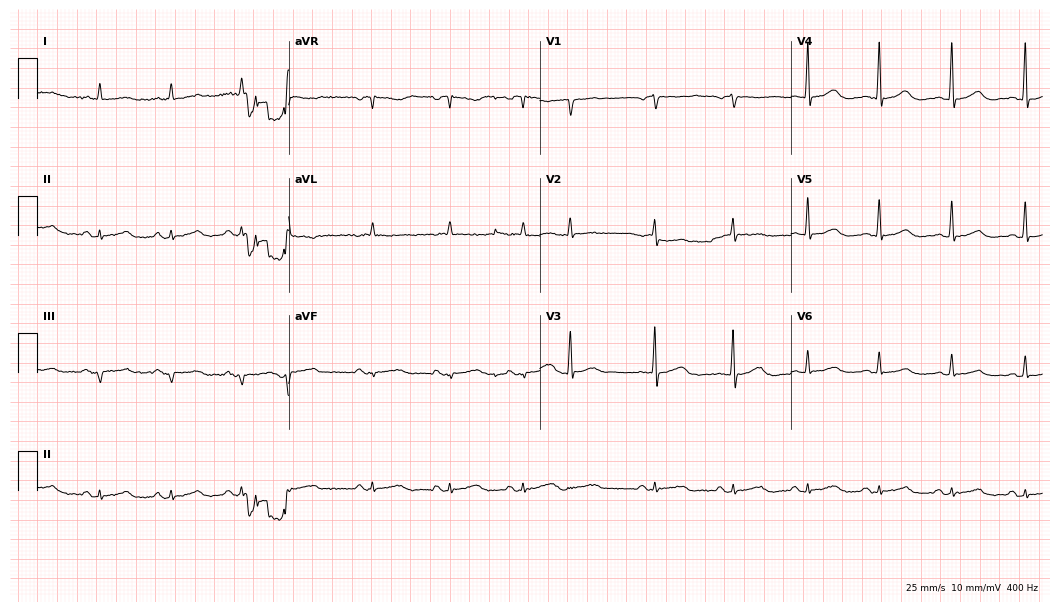
Resting 12-lead electrocardiogram (10.2-second recording at 400 Hz). Patient: a male, 84 years old. None of these six findings is recorded: first-degree AV block, right bundle branch block (RBBB), left bundle branch block (LBBB), sinus bradycardia, atrial fibrillation (AF), sinus tachycardia.